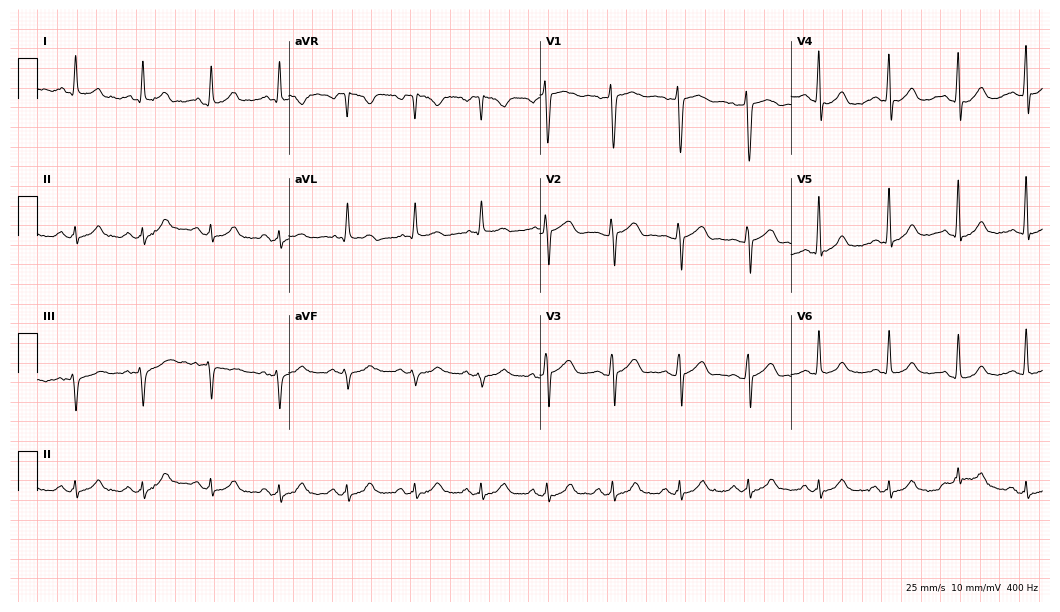
12-lead ECG from a 62-year-old man. Labelled as a normal ECG.